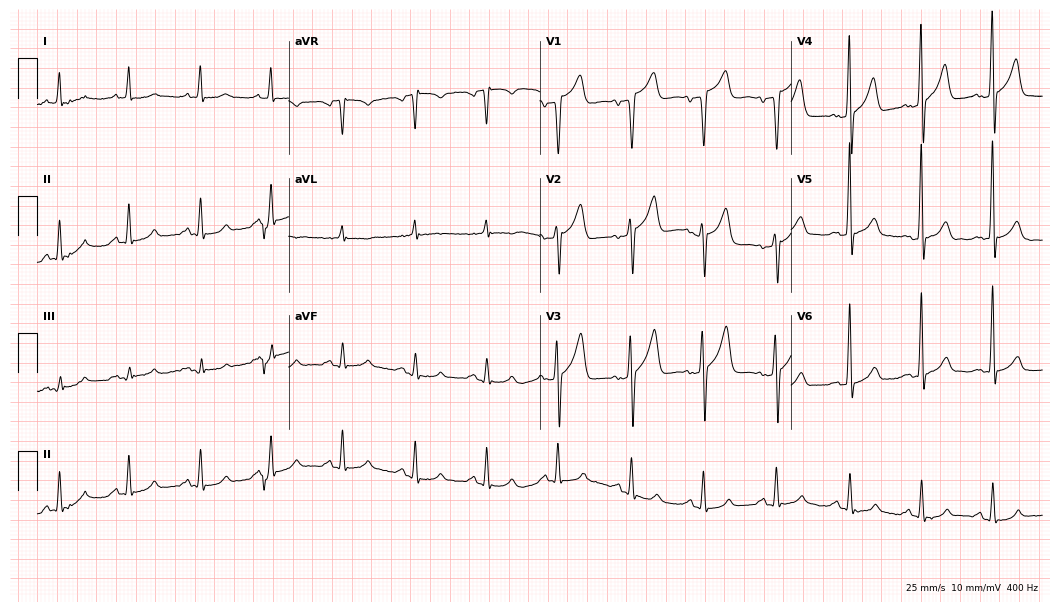
Standard 12-lead ECG recorded from a male, 59 years old. Read as a normal ECG.